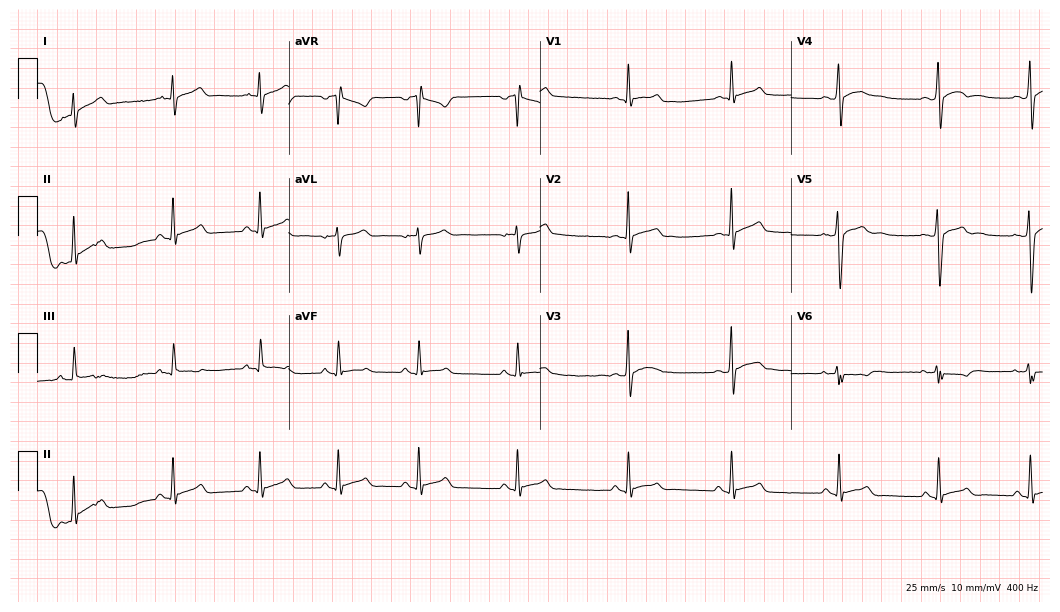
12-lead ECG (10.2-second recording at 400 Hz) from a 23-year-old male. Screened for six findings — first-degree AV block, right bundle branch block, left bundle branch block, sinus bradycardia, atrial fibrillation, sinus tachycardia — none is recorded. Other findings, if any, are not listed.